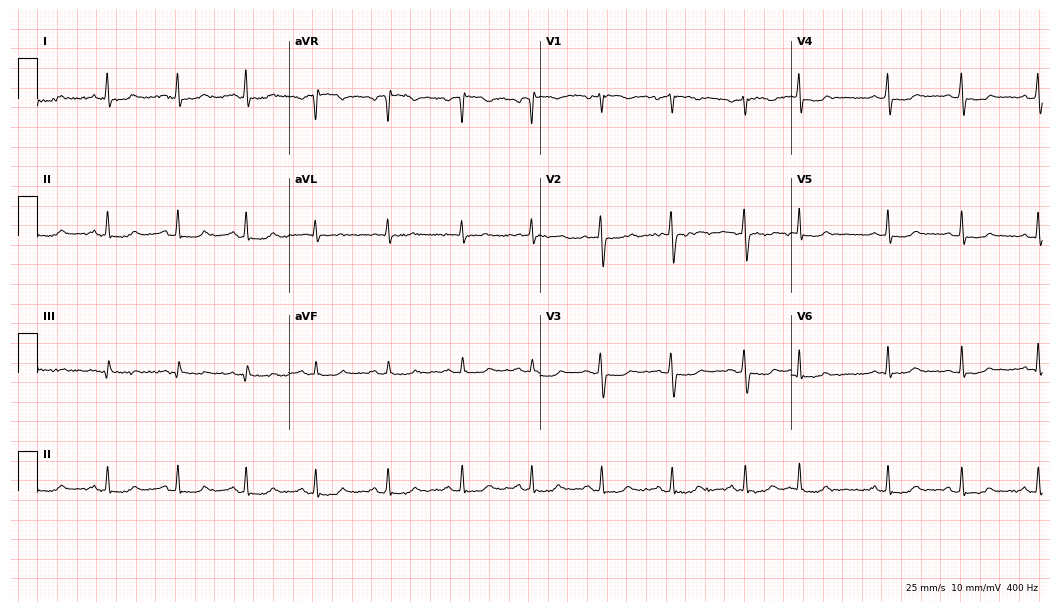
Electrocardiogram, a female patient, 47 years old. Of the six screened findings (first-degree AV block, right bundle branch block, left bundle branch block, sinus bradycardia, atrial fibrillation, sinus tachycardia), none is recorded. Other findings, if any, are not listed.